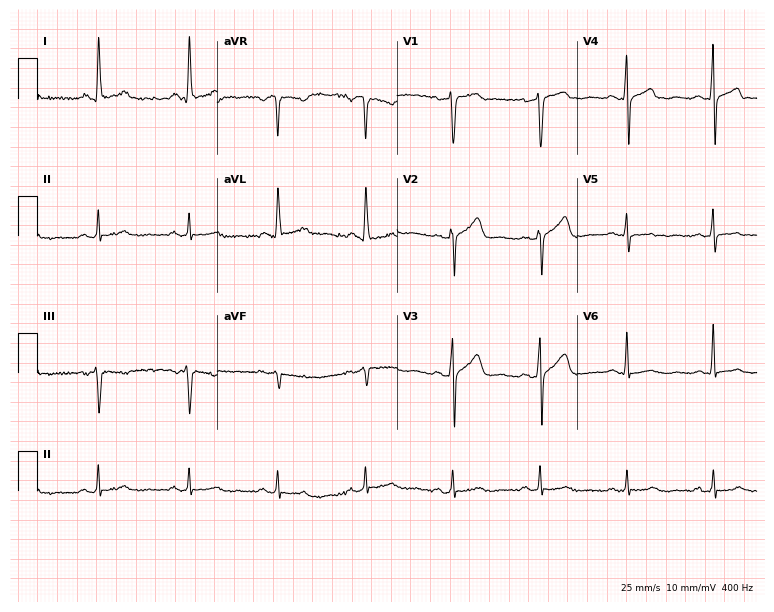
Electrocardiogram, a woman, 53 years old. Of the six screened findings (first-degree AV block, right bundle branch block (RBBB), left bundle branch block (LBBB), sinus bradycardia, atrial fibrillation (AF), sinus tachycardia), none is recorded.